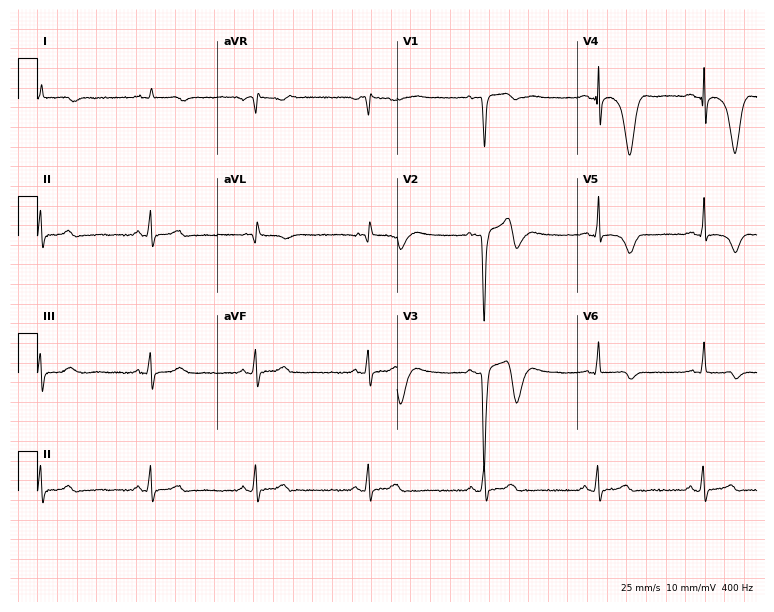
Standard 12-lead ECG recorded from a man, 57 years old (7.3-second recording at 400 Hz). None of these six findings is recorded: first-degree AV block, right bundle branch block, left bundle branch block, sinus bradycardia, atrial fibrillation, sinus tachycardia. Findings outside these six are not listed.